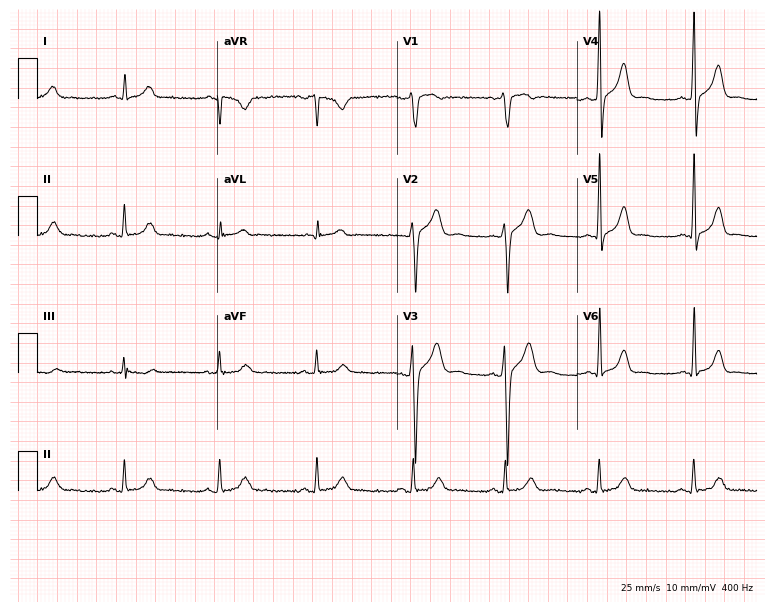
Standard 12-lead ECG recorded from a 39-year-old man. Read as a normal ECG.